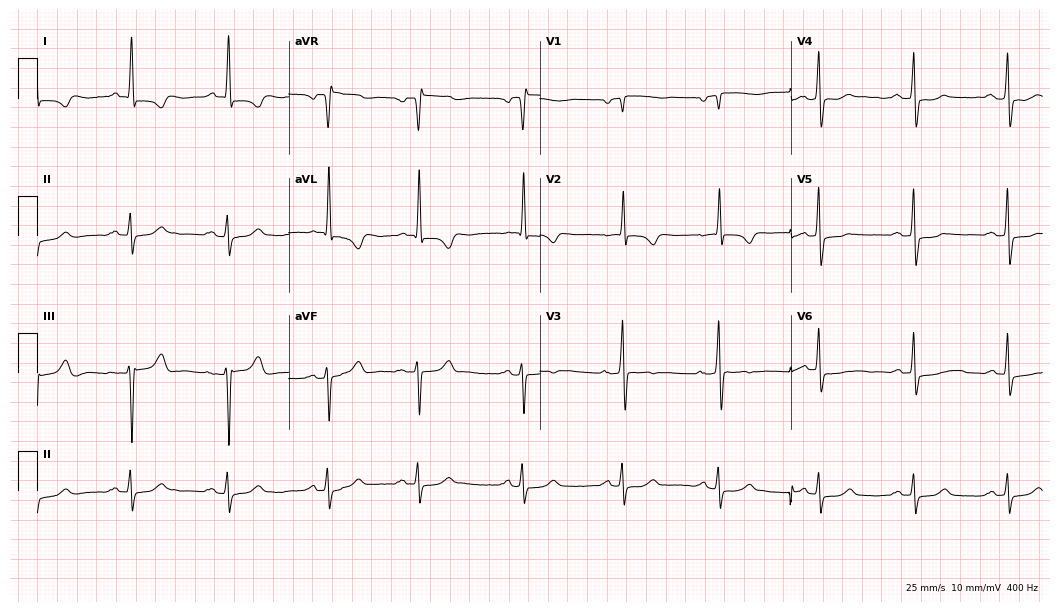
12-lead ECG (10.2-second recording at 400 Hz) from an 82-year-old man. Screened for six findings — first-degree AV block, right bundle branch block, left bundle branch block, sinus bradycardia, atrial fibrillation, sinus tachycardia — none is recorded.